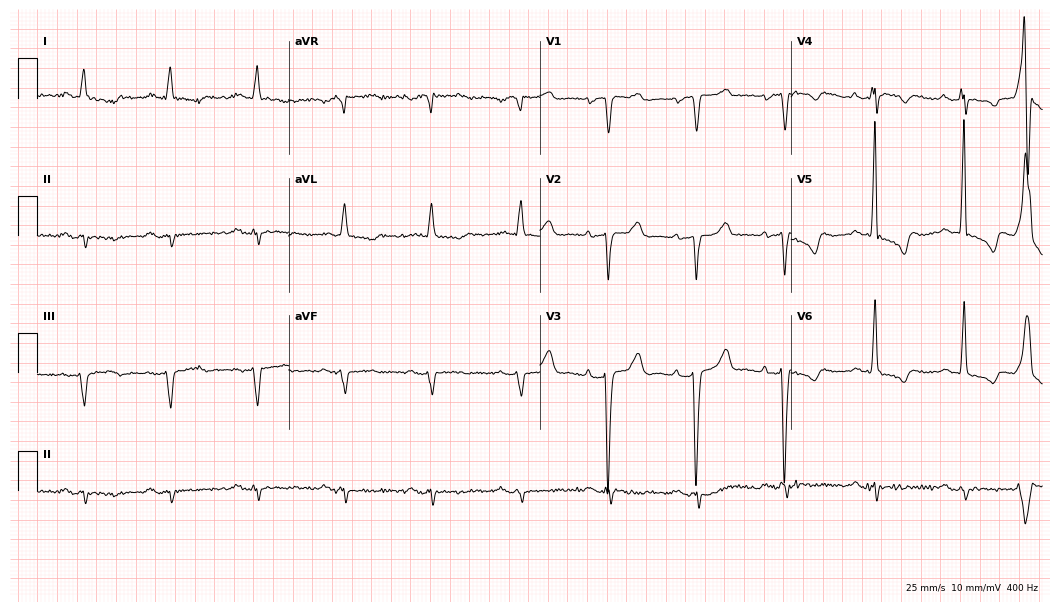
Resting 12-lead electrocardiogram. Patient: a man, 76 years old. None of these six findings is recorded: first-degree AV block, right bundle branch block, left bundle branch block, sinus bradycardia, atrial fibrillation, sinus tachycardia. Findings outside these six are not listed.